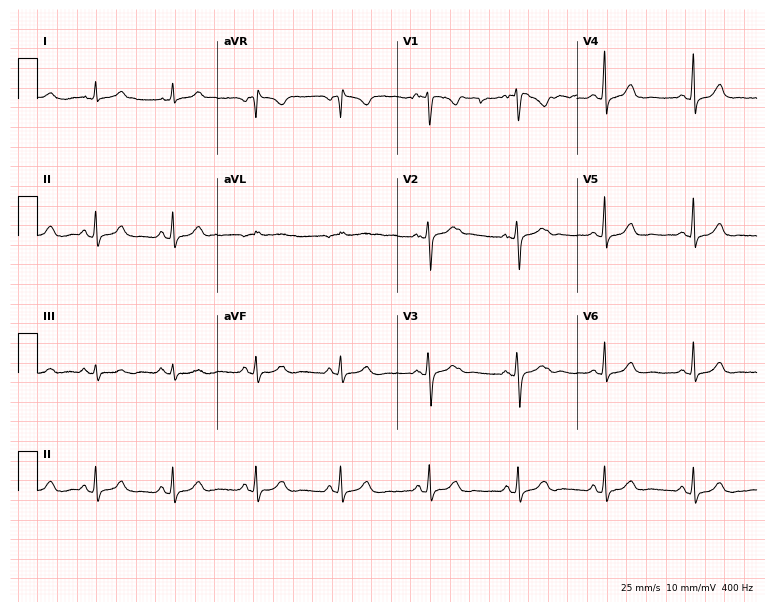
12-lead ECG (7.3-second recording at 400 Hz) from a female, 23 years old. Labelled as a normal ECG.